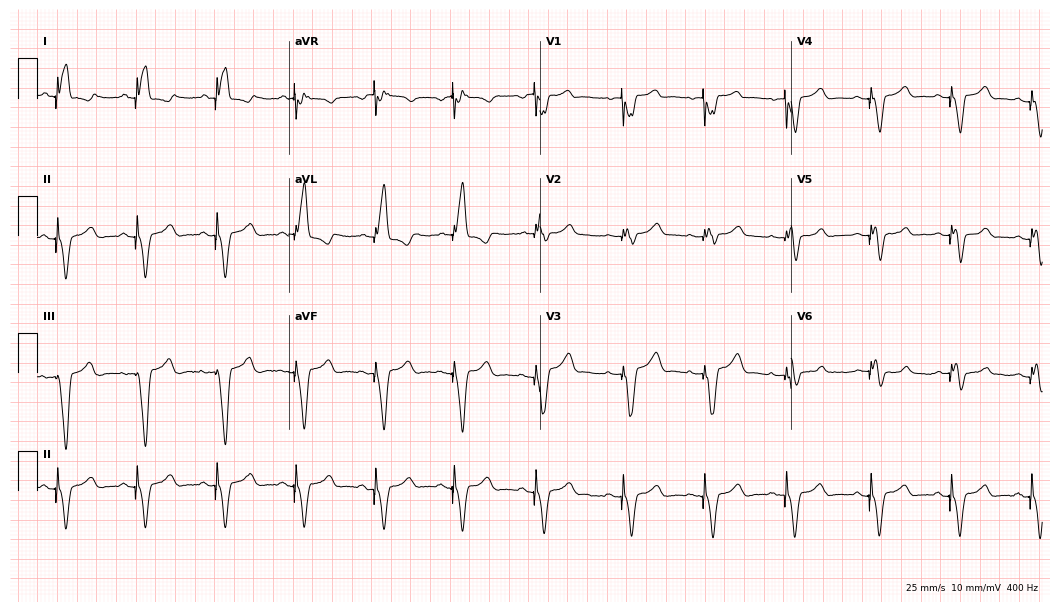
Resting 12-lead electrocardiogram. Patient: a woman, 43 years old. None of these six findings is recorded: first-degree AV block, right bundle branch block (RBBB), left bundle branch block (LBBB), sinus bradycardia, atrial fibrillation (AF), sinus tachycardia.